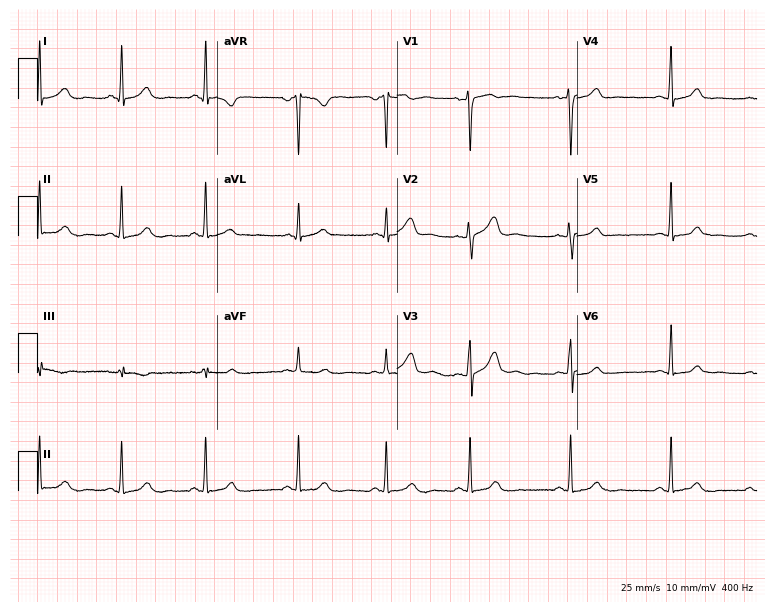
ECG (7.3-second recording at 400 Hz) — a female patient, 31 years old. Labelled as a normal ECG.